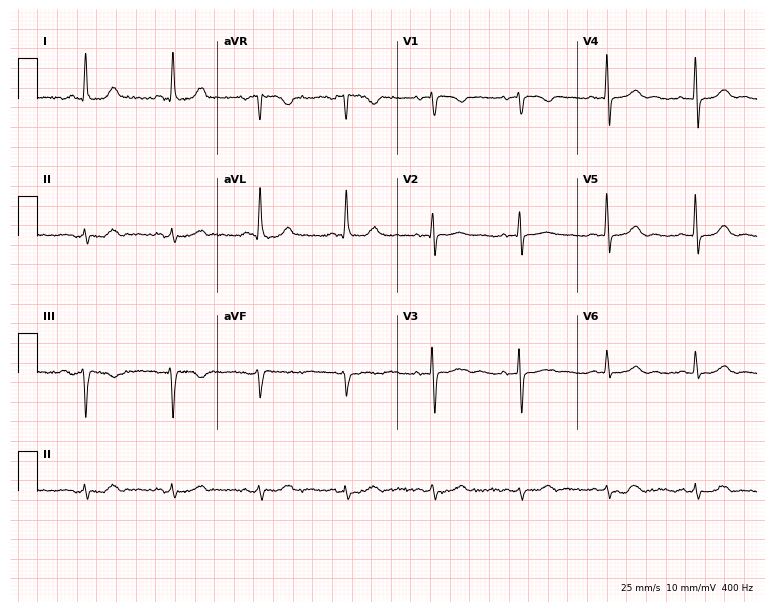
Standard 12-lead ECG recorded from an 80-year-old woman. Read as a normal ECG.